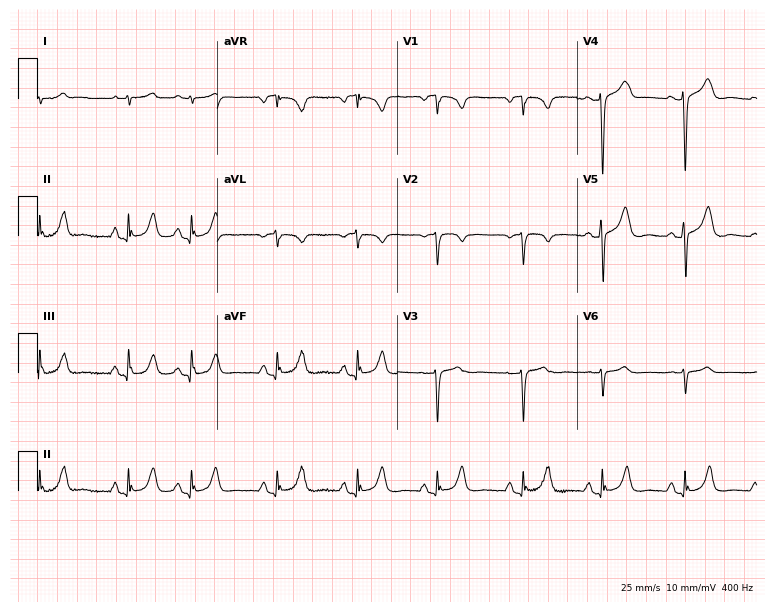
Standard 12-lead ECG recorded from a man, 76 years old. None of these six findings is recorded: first-degree AV block, right bundle branch block (RBBB), left bundle branch block (LBBB), sinus bradycardia, atrial fibrillation (AF), sinus tachycardia.